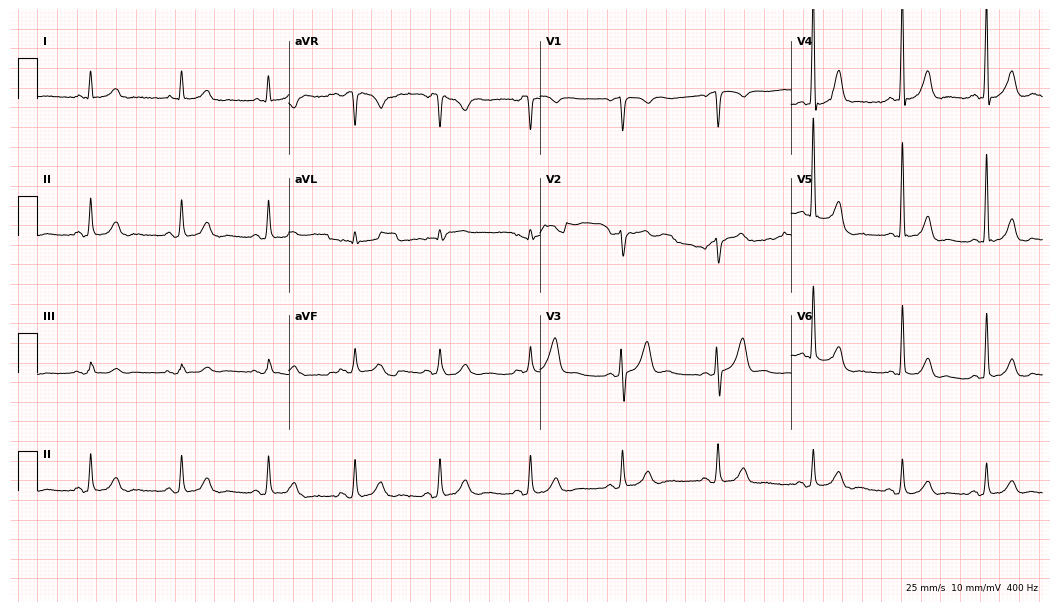
Standard 12-lead ECG recorded from a man, 69 years old (10.2-second recording at 400 Hz). Read as a normal ECG.